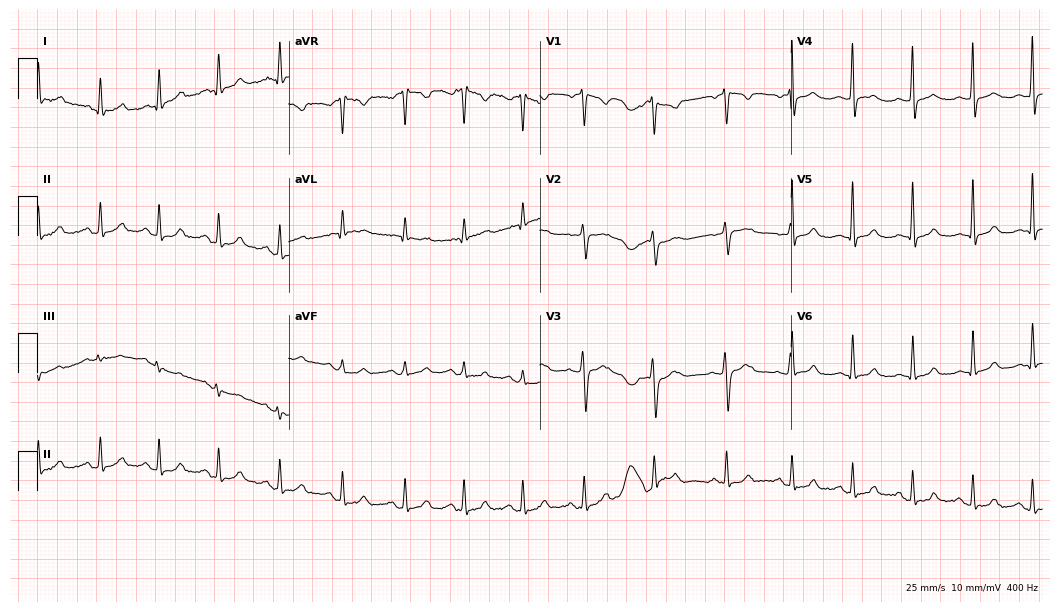
12-lead ECG from a 24-year-old female (10.2-second recording at 400 Hz). Recorded interpretation: within normal limits.